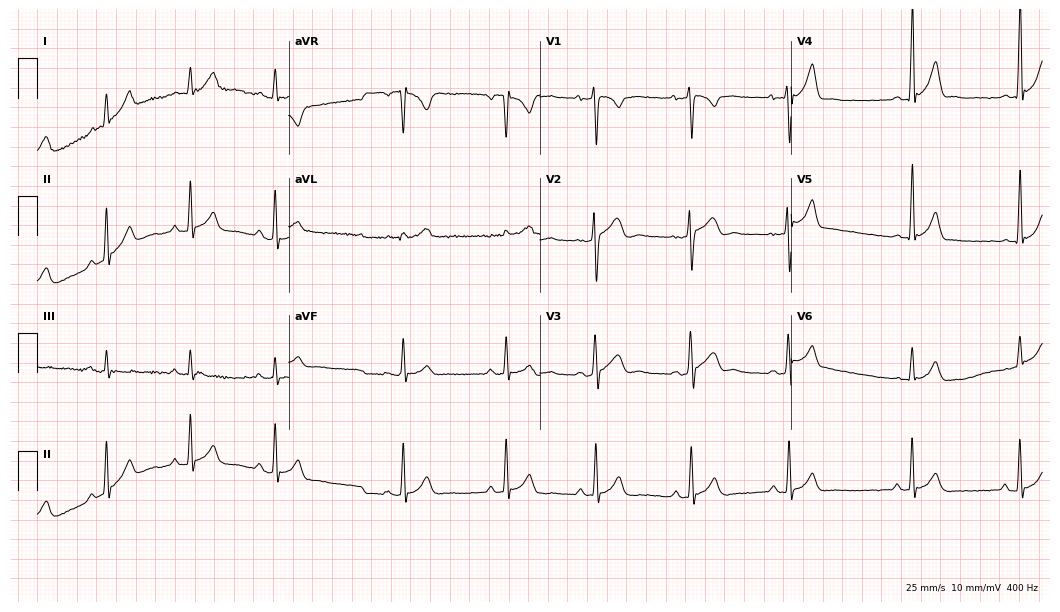
Electrocardiogram (10.2-second recording at 400 Hz), an 18-year-old man. Overall reading on record: normal ECG.